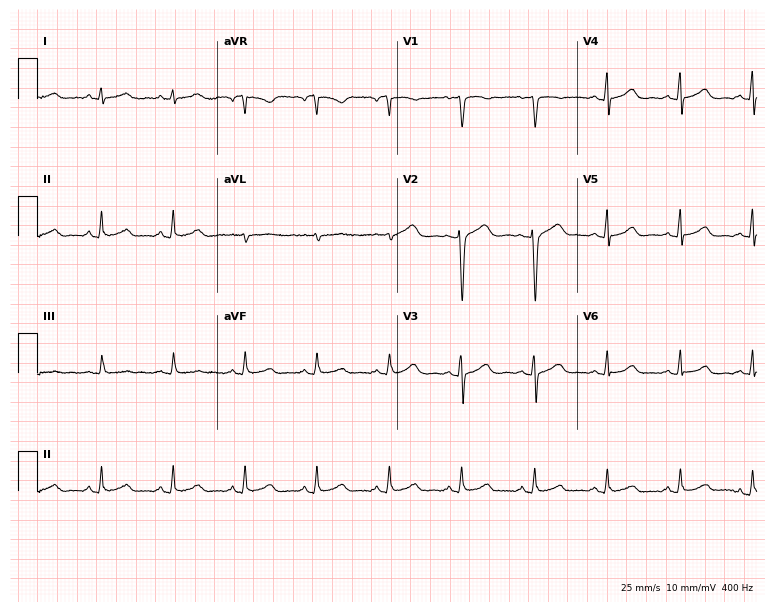
Resting 12-lead electrocardiogram. Patient: a 52-year-old female. None of these six findings is recorded: first-degree AV block, right bundle branch block (RBBB), left bundle branch block (LBBB), sinus bradycardia, atrial fibrillation (AF), sinus tachycardia.